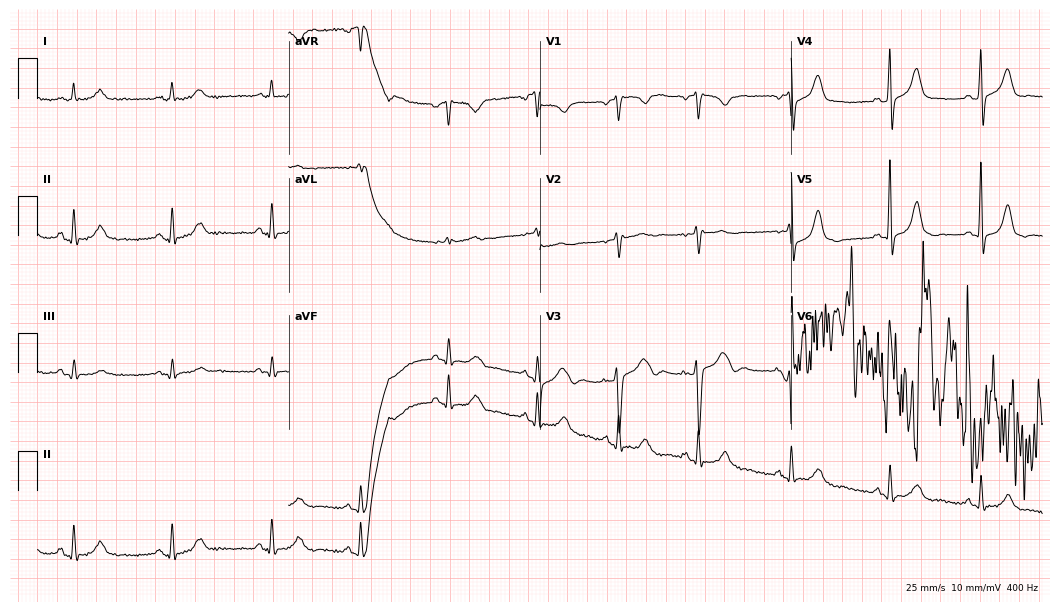
Resting 12-lead electrocardiogram (10.2-second recording at 400 Hz). Patient: a woman, 37 years old. None of these six findings is recorded: first-degree AV block, right bundle branch block, left bundle branch block, sinus bradycardia, atrial fibrillation, sinus tachycardia.